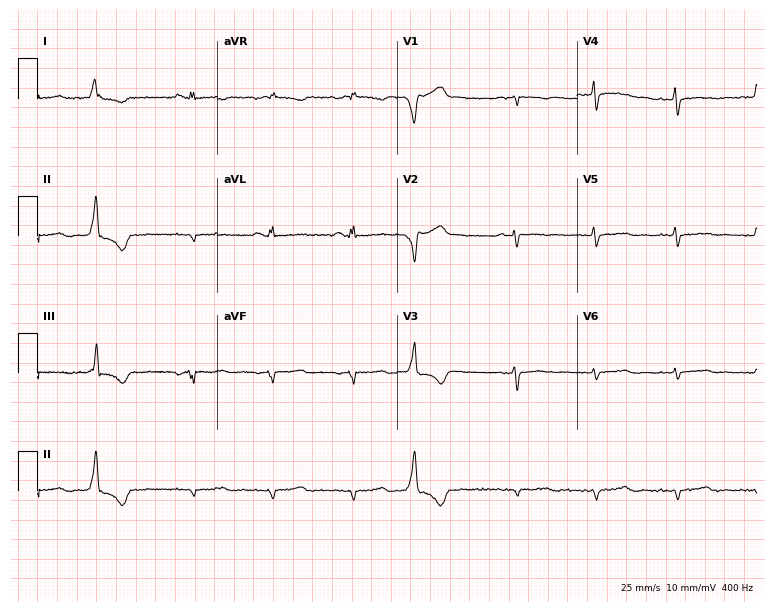
Standard 12-lead ECG recorded from a woman, 53 years old (7.3-second recording at 400 Hz). None of these six findings is recorded: first-degree AV block, right bundle branch block (RBBB), left bundle branch block (LBBB), sinus bradycardia, atrial fibrillation (AF), sinus tachycardia.